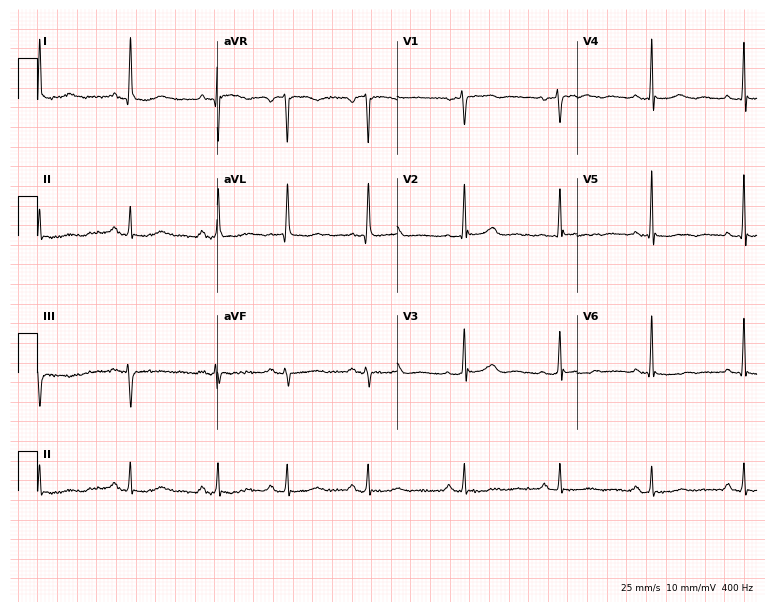
Resting 12-lead electrocardiogram. Patient: a 68-year-old female. None of these six findings is recorded: first-degree AV block, right bundle branch block, left bundle branch block, sinus bradycardia, atrial fibrillation, sinus tachycardia. Other findings, if any, are not listed.